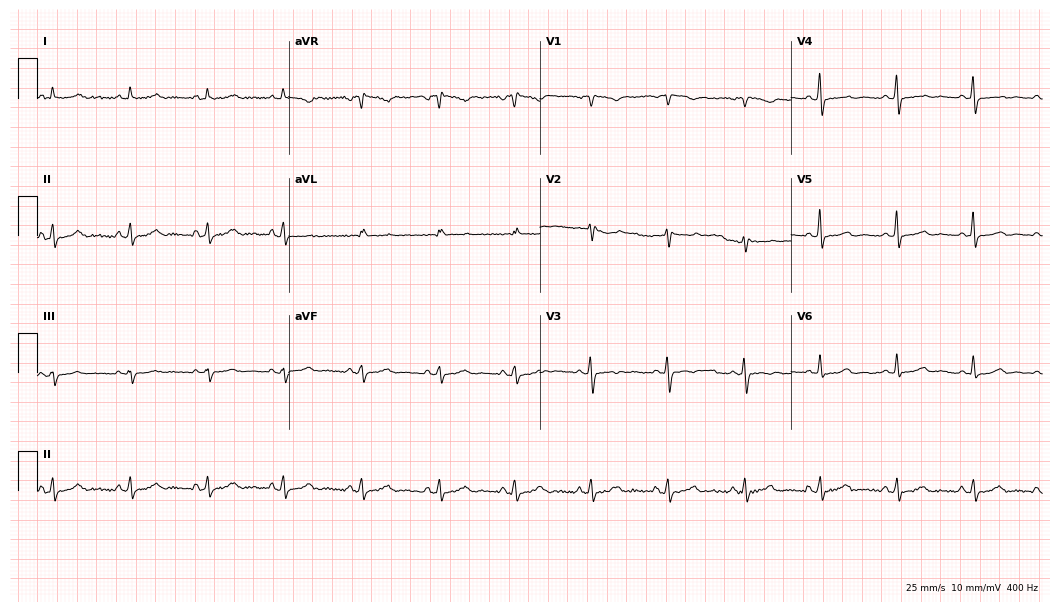
Electrocardiogram, a woman, 44 years old. Overall reading on record: normal ECG.